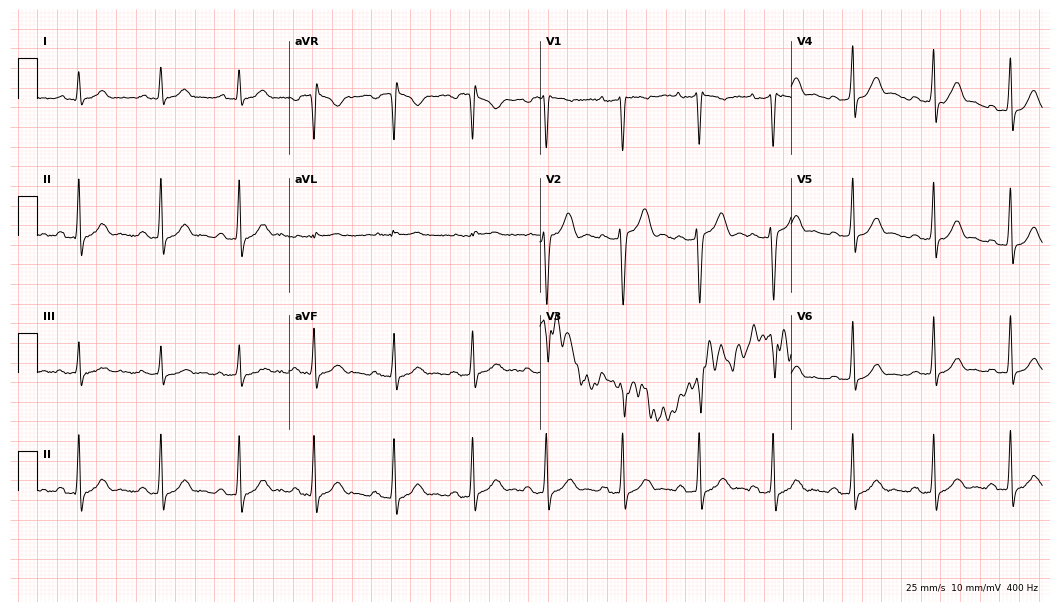
Standard 12-lead ECG recorded from a female, 22 years old (10.2-second recording at 400 Hz). Read as a normal ECG.